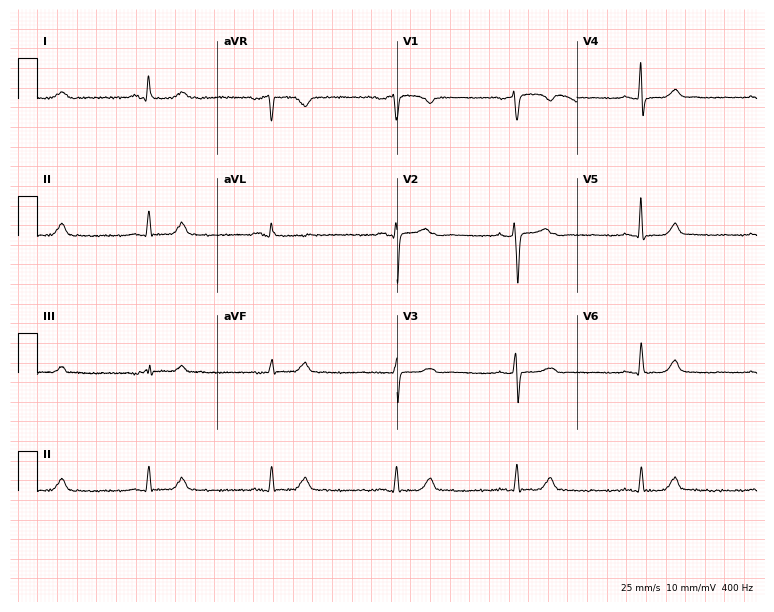
12-lead ECG (7.3-second recording at 400 Hz) from a 67-year-old woman. Findings include sinus bradycardia (a sinus rate of 50 beats per minute or less).